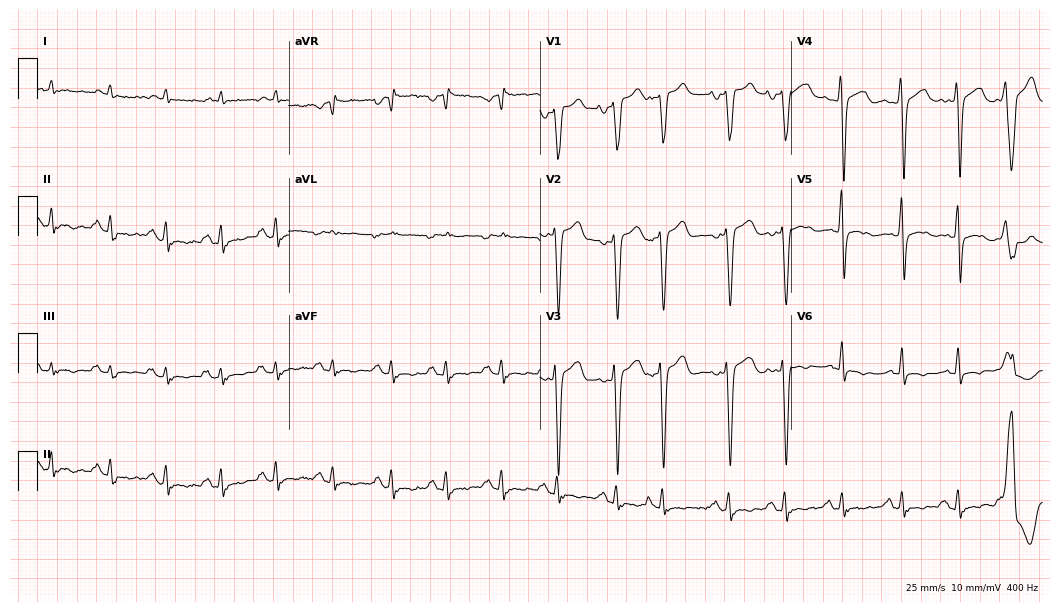
ECG — a 67-year-old male. Findings include sinus tachycardia (a sinus rate of 100 beats per minute or more).